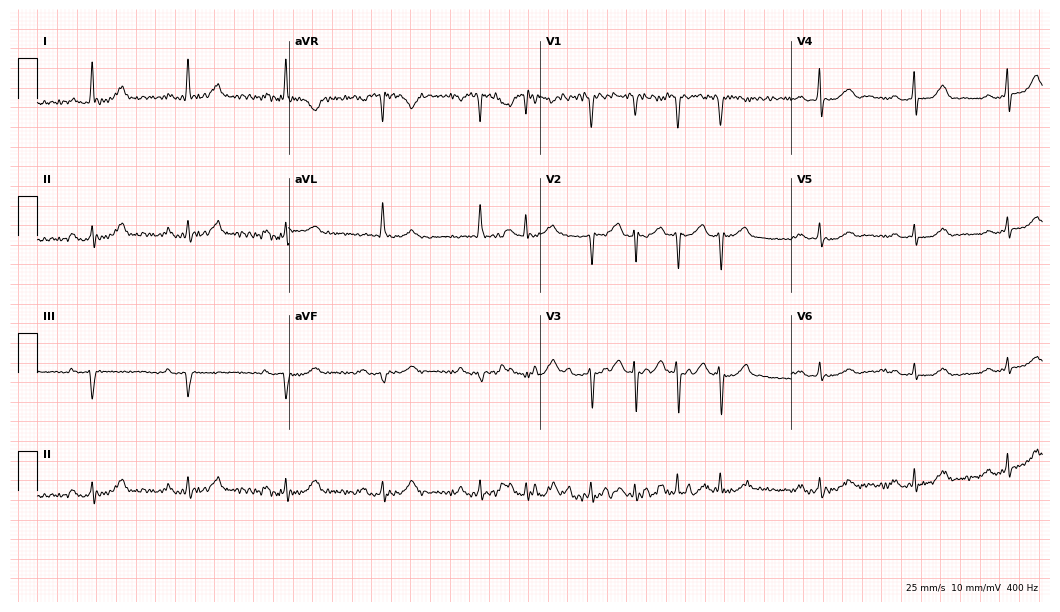
Electrocardiogram (10.2-second recording at 400 Hz), a 73-year-old female. Of the six screened findings (first-degree AV block, right bundle branch block (RBBB), left bundle branch block (LBBB), sinus bradycardia, atrial fibrillation (AF), sinus tachycardia), none is recorded. Other findings, if any, are not listed.